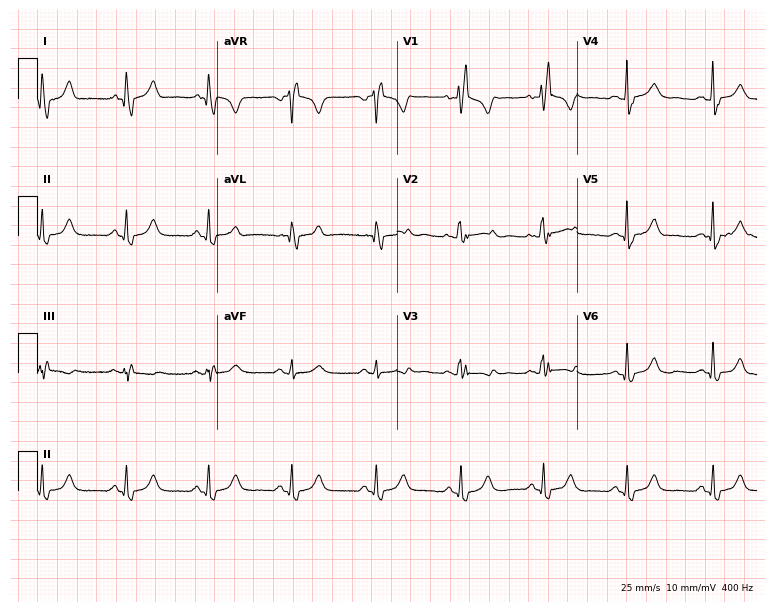
Electrocardiogram, a 57-year-old woman. Interpretation includes right bundle branch block (RBBB).